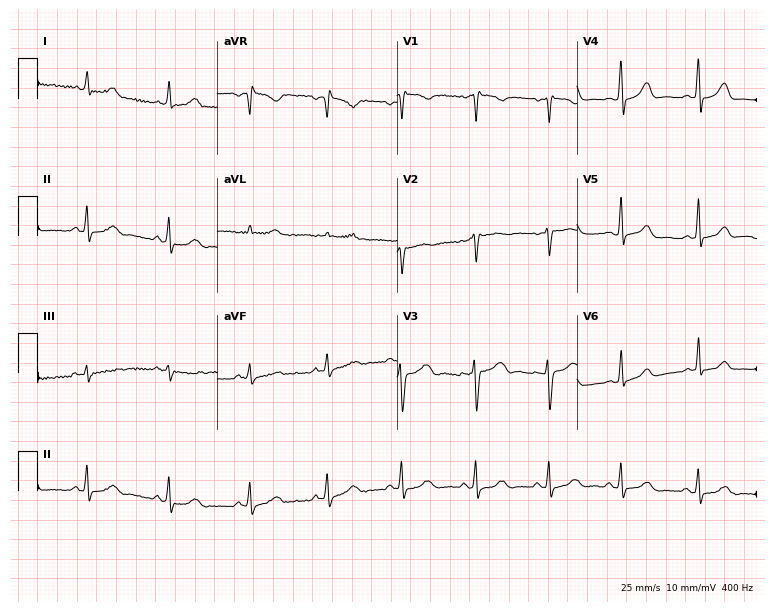
12-lead ECG from a 26-year-old female patient. No first-degree AV block, right bundle branch block (RBBB), left bundle branch block (LBBB), sinus bradycardia, atrial fibrillation (AF) or sinus tachycardia recorded for this tracing. Findings outside these six are not listed.